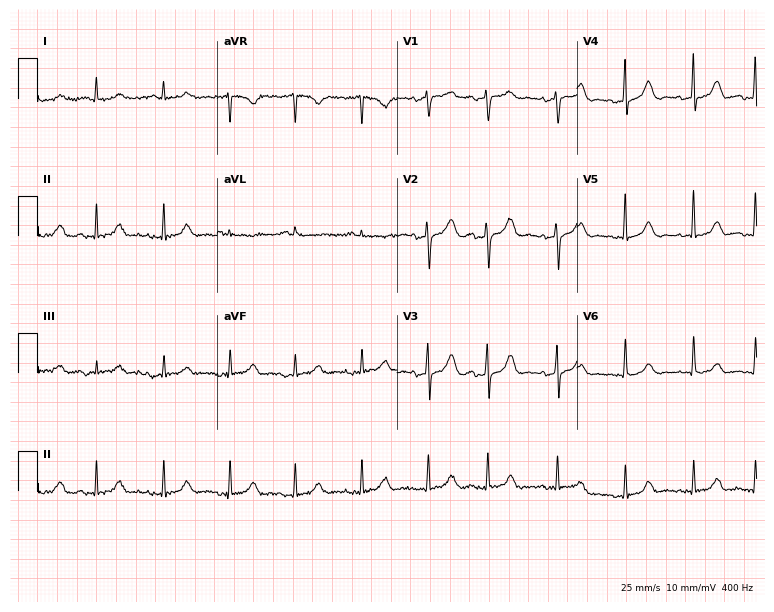
Resting 12-lead electrocardiogram. Patient: a woman, 85 years old. Read as a normal ECG.